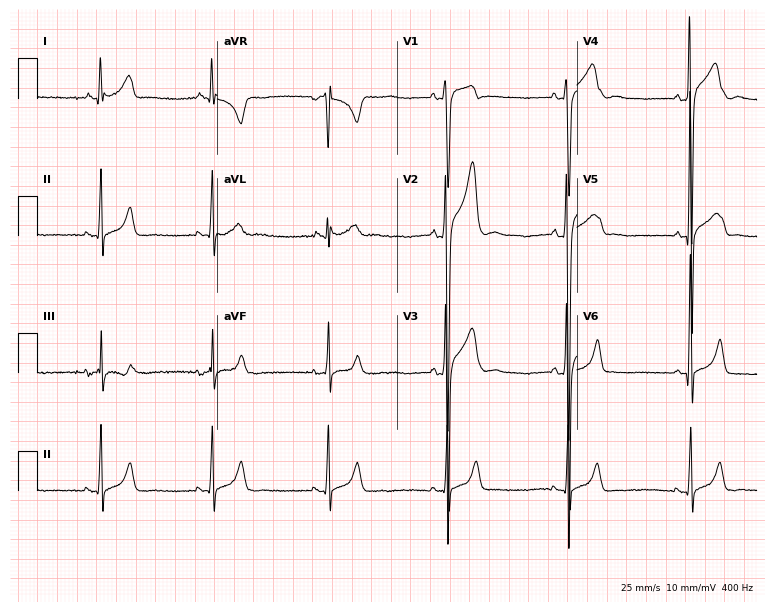
12-lead ECG from a 23-year-old male patient (7.3-second recording at 400 Hz). Shows sinus bradycardia (a sinus rate of 50 beats per minute or less).